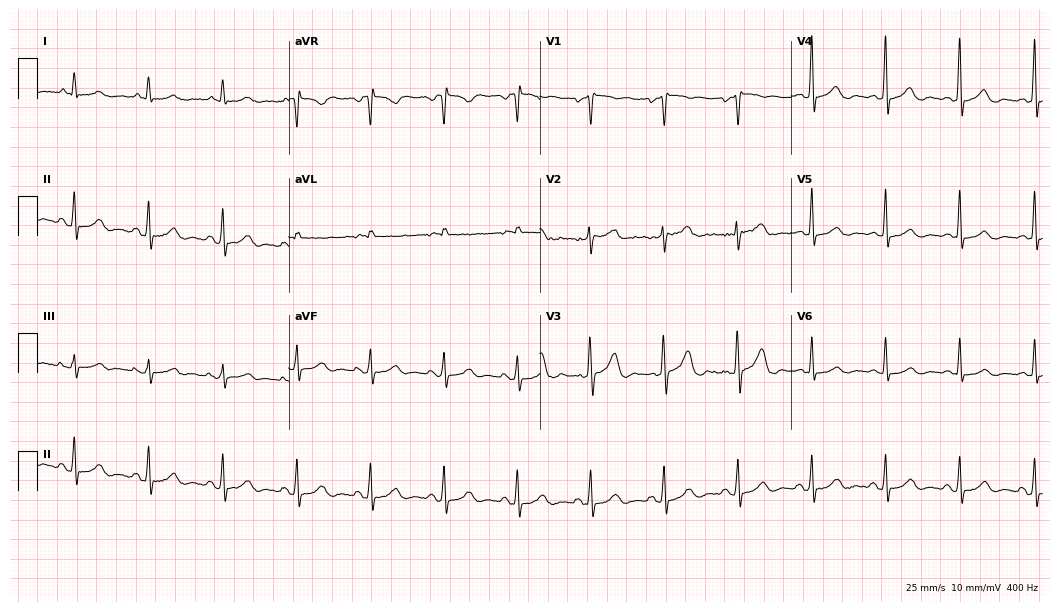
12-lead ECG (10.2-second recording at 400 Hz) from a 40-year-old male. Labelled as a normal ECG.